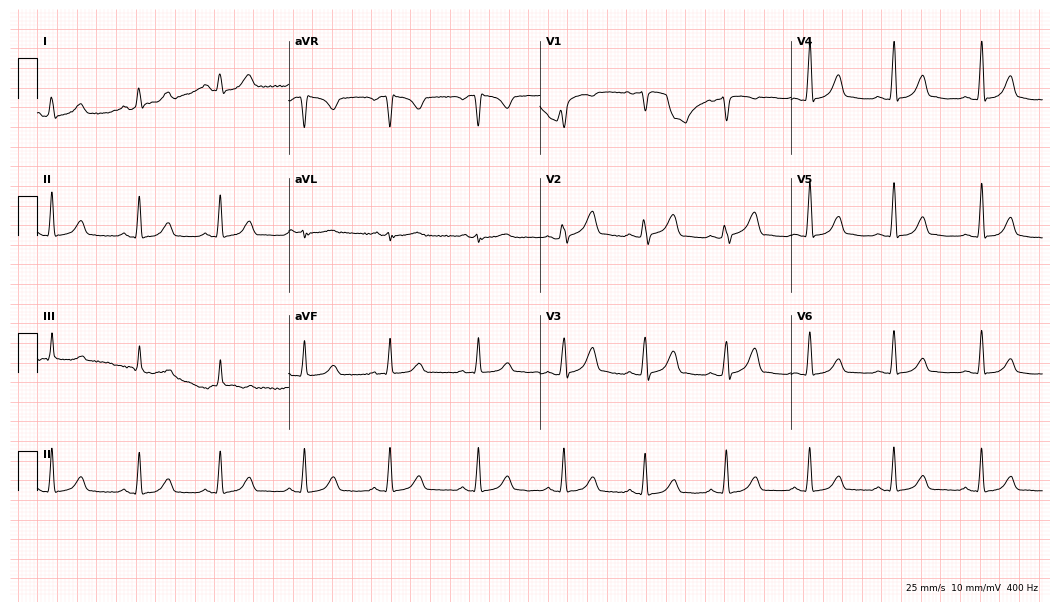
Standard 12-lead ECG recorded from a 31-year-old female patient (10.2-second recording at 400 Hz). Read as a normal ECG.